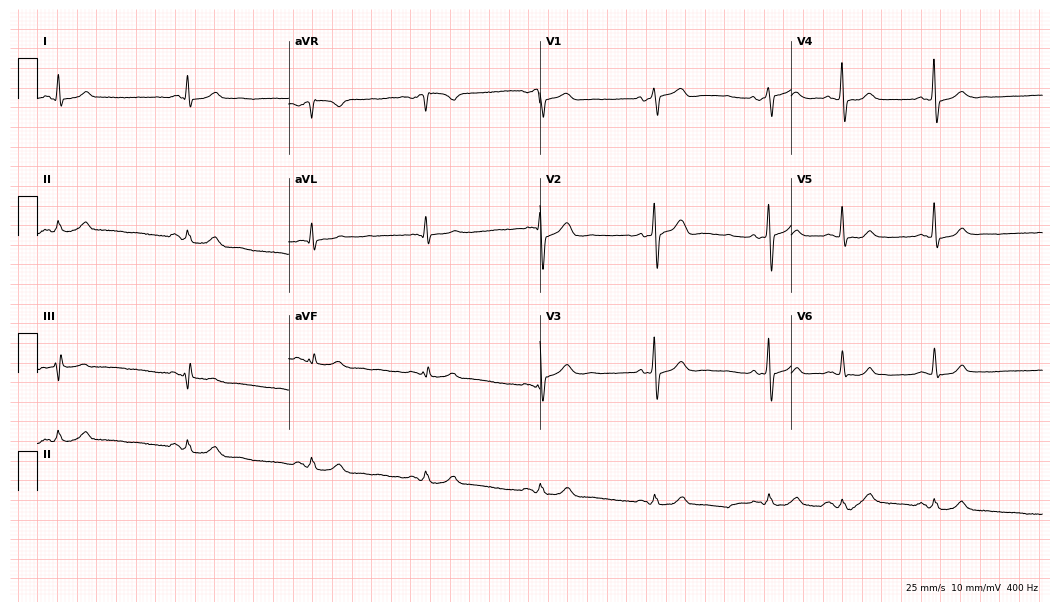
12-lead ECG from a male, 64 years old. Shows sinus bradycardia (a sinus rate of 50 beats per minute or less).